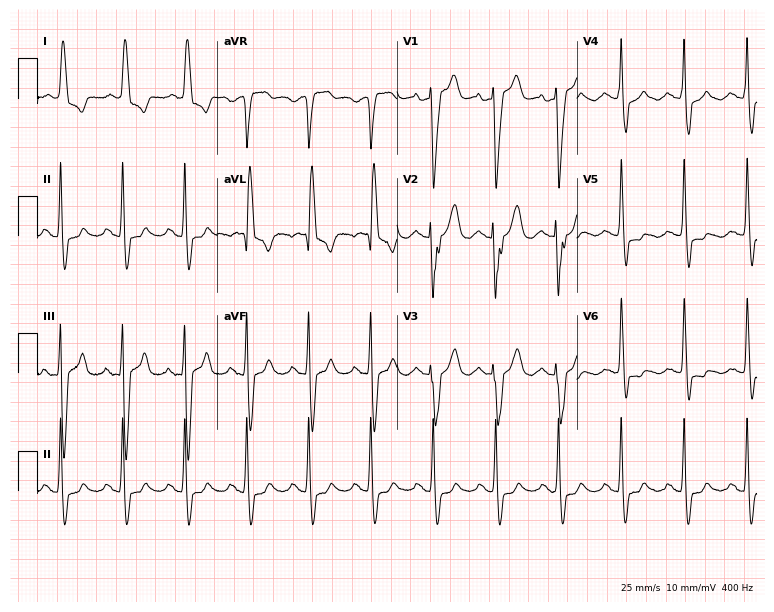
Resting 12-lead electrocardiogram. Patient: a female, 79 years old. The tracing shows left bundle branch block.